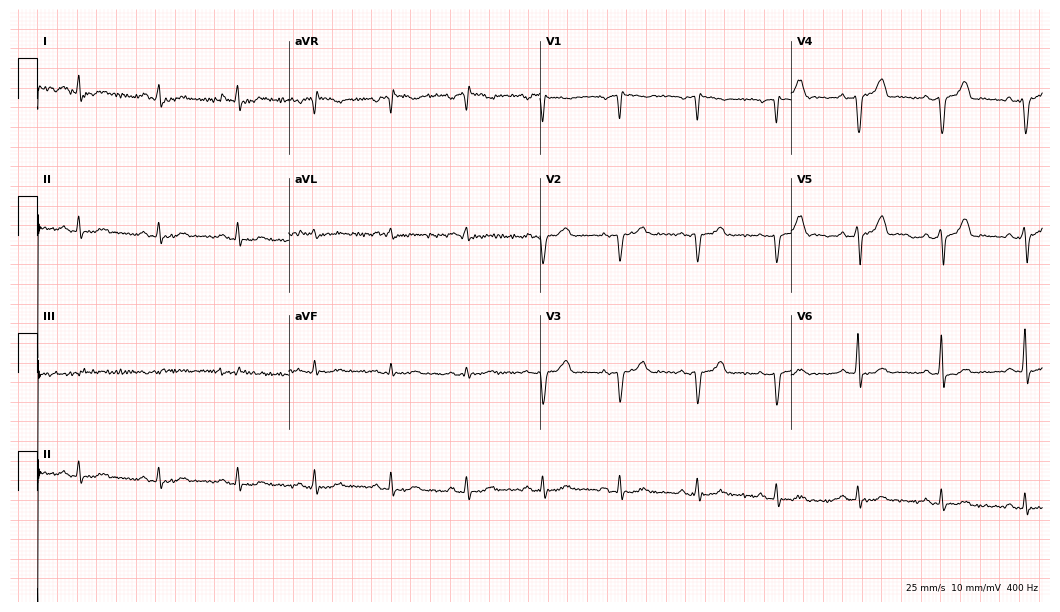
ECG (10.2-second recording at 400 Hz) — a 52-year-old male patient. Screened for six findings — first-degree AV block, right bundle branch block (RBBB), left bundle branch block (LBBB), sinus bradycardia, atrial fibrillation (AF), sinus tachycardia — none is recorded.